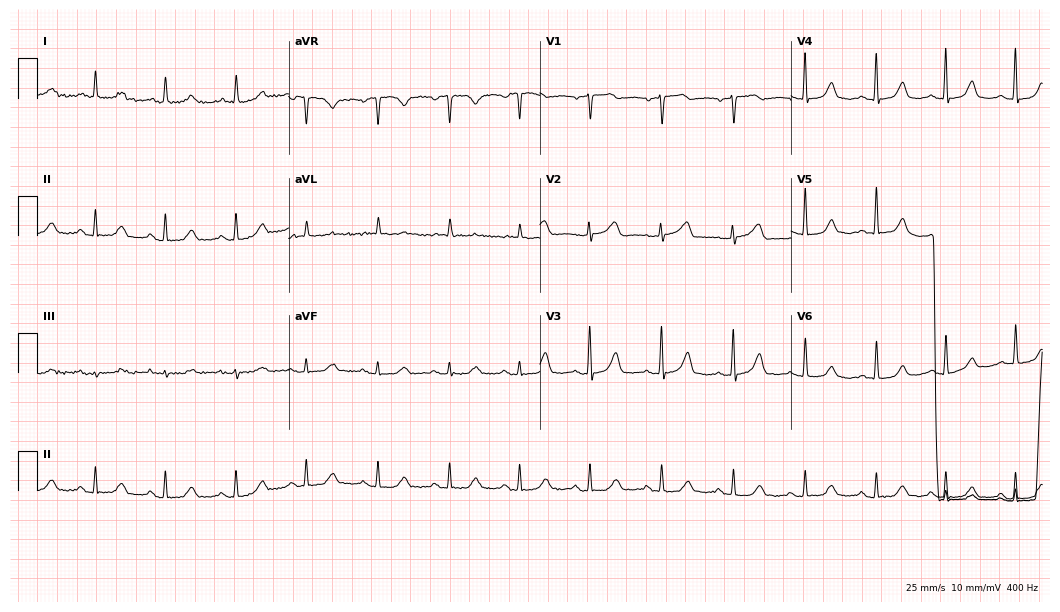
12-lead ECG (10.2-second recording at 400 Hz) from an 84-year-old female. Labelled as a normal ECG.